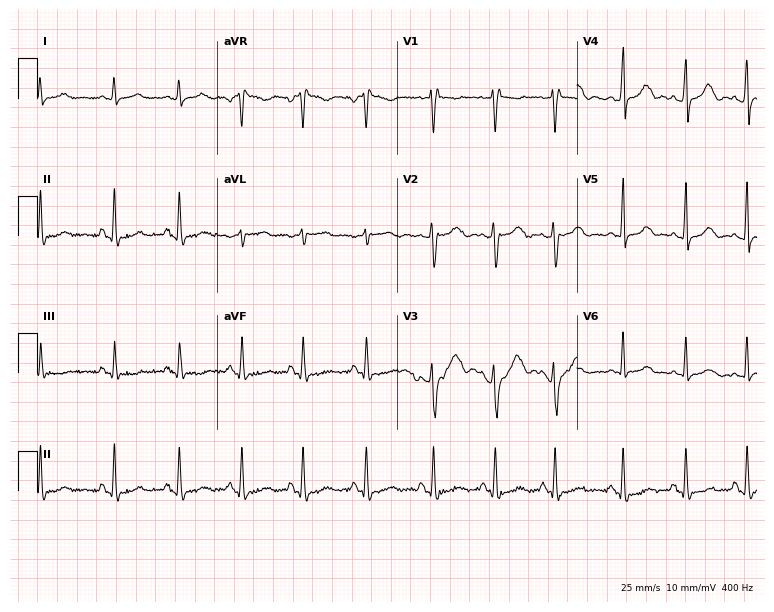
12-lead ECG from a 19-year-old female (7.3-second recording at 400 Hz). Recorded interpretation: within normal limits.